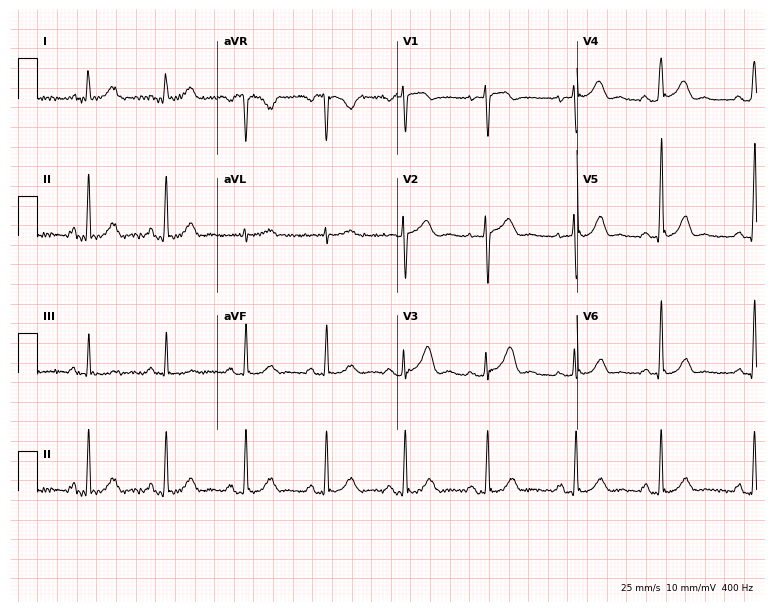
Electrocardiogram (7.3-second recording at 400 Hz), a 36-year-old female. Overall reading on record: normal ECG.